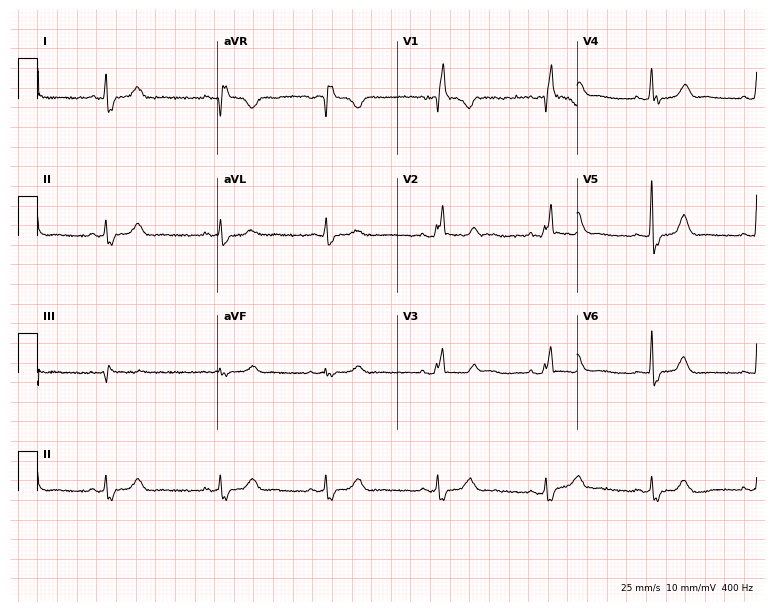
Resting 12-lead electrocardiogram. Patient: a 43-year-old female. None of these six findings is recorded: first-degree AV block, right bundle branch block, left bundle branch block, sinus bradycardia, atrial fibrillation, sinus tachycardia.